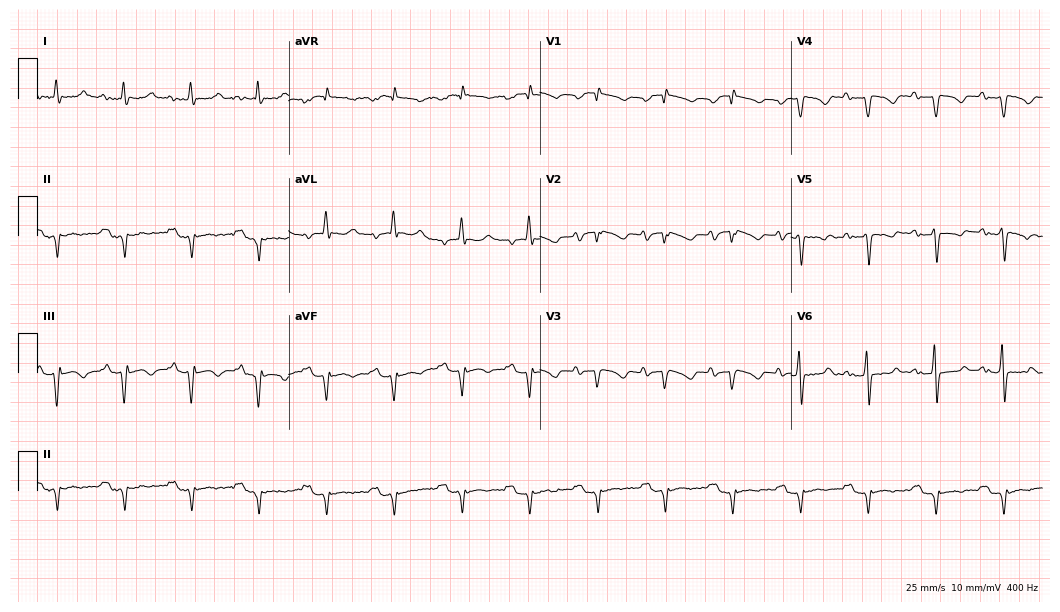
ECG — a 60-year-old man. Findings include first-degree AV block.